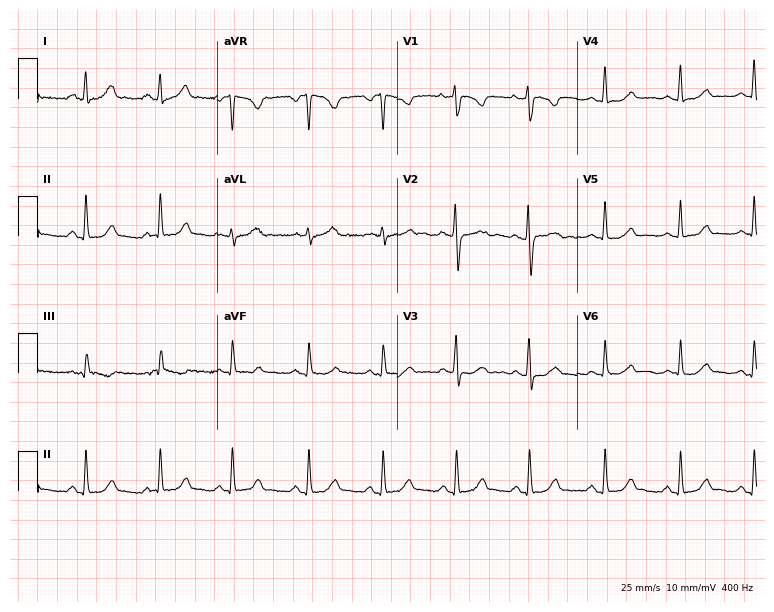
12-lead ECG from a 31-year-old woman. No first-degree AV block, right bundle branch block (RBBB), left bundle branch block (LBBB), sinus bradycardia, atrial fibrillation (AF) or sinus tachycardia recorded for this tracing. Other findings, if any, are not listed.